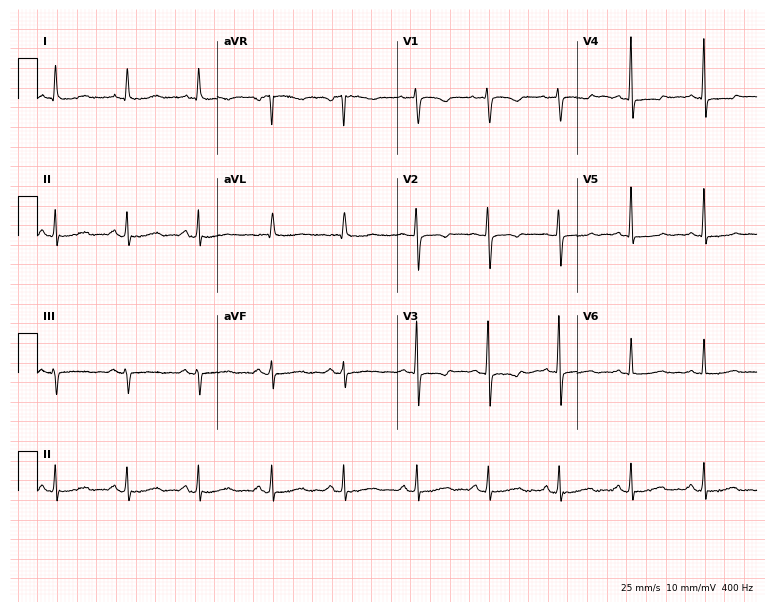
12-lead ECG (7.3-second recording at 400 Hz) from a 60-year-old woman. Screened for six findings — first-degree AV block, right bundle branch block, left bundle branch block, sinus bradycardia, atrial fibrillation, sinus tachycardia — none is recorded. Other findings, if any, are not listed.